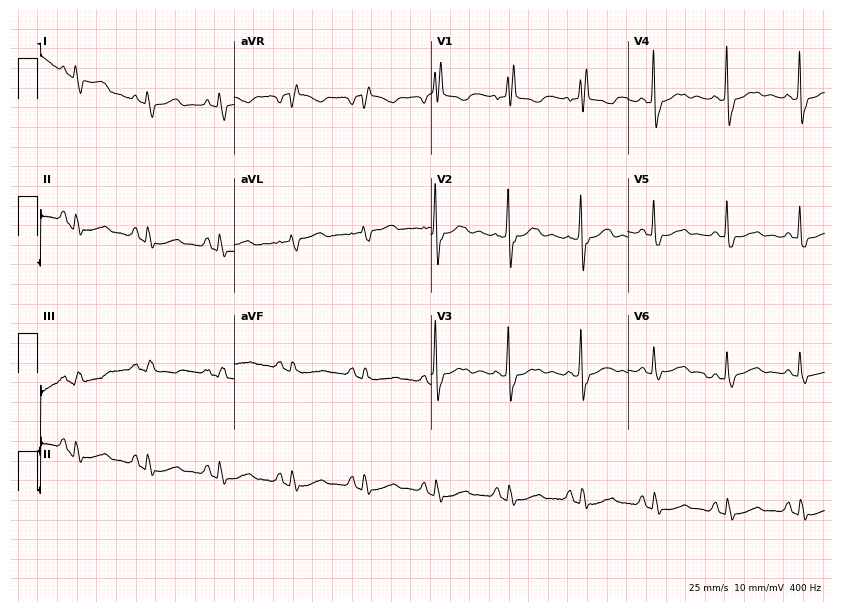
Resting 12-lead electrocardiogram. Patient: a female, 78 years old. None of these six findings is recorded: first-degree AV block, right bundle branch block, left bundle branch block, sinus bradycardia, atrial fibrillation, sinus tachycardia.